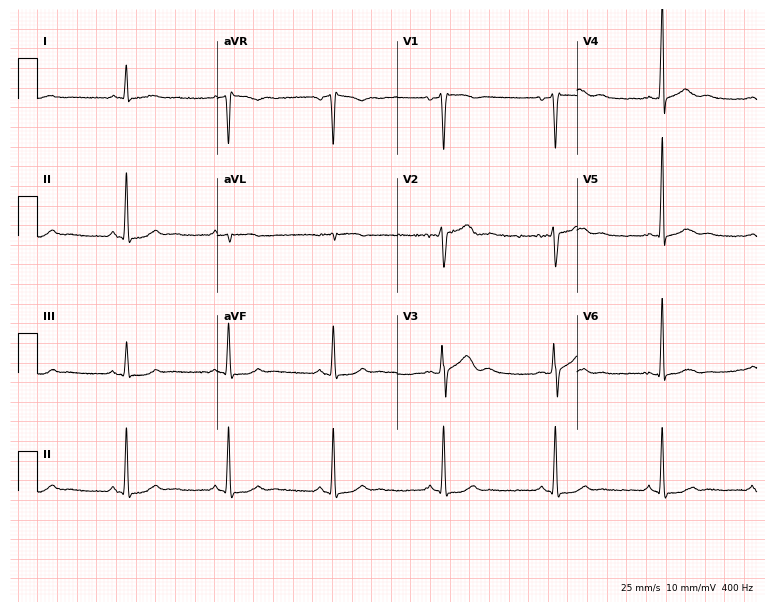
12-lead ECG from a 44-year-old male patient (7.3-second recording at 400 Hz). Recorded interpretation: within normal limits.